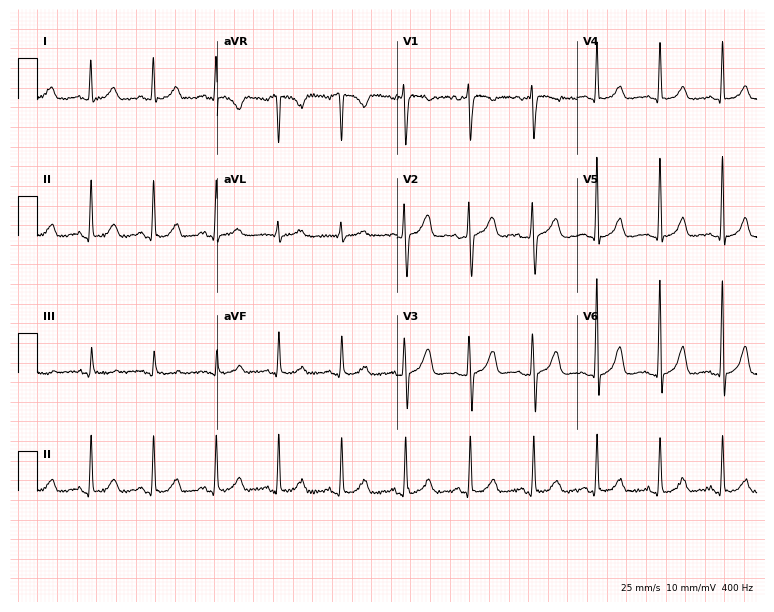
12-lead ECG (7.3-second recording at 400 Hz) from a man, 39 years old. Labelled as a normal ECG.